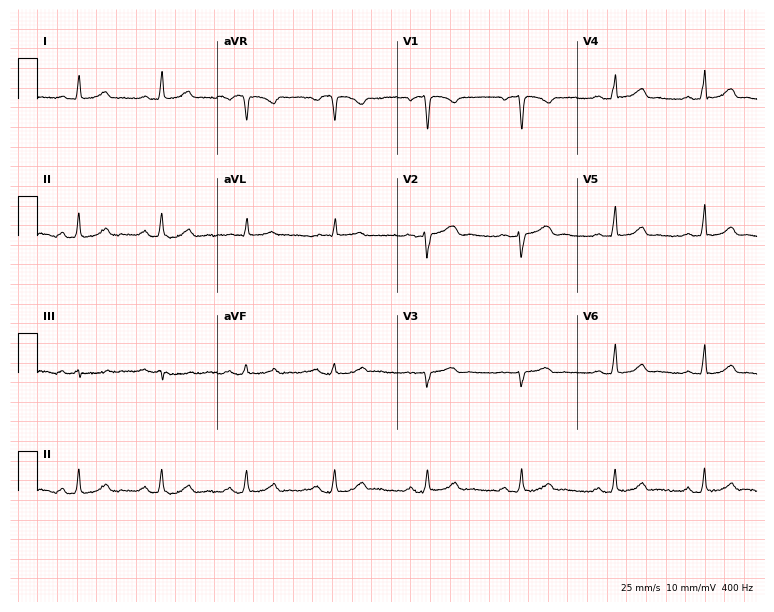
12-lead ECG from a 38-year-old female patient. Screened for six findings — first-degree AV block, right bundle branch block, left bundle branch block, sinus bradycardia, atrial fibrillation, sinus tachycardia — none is recorded.